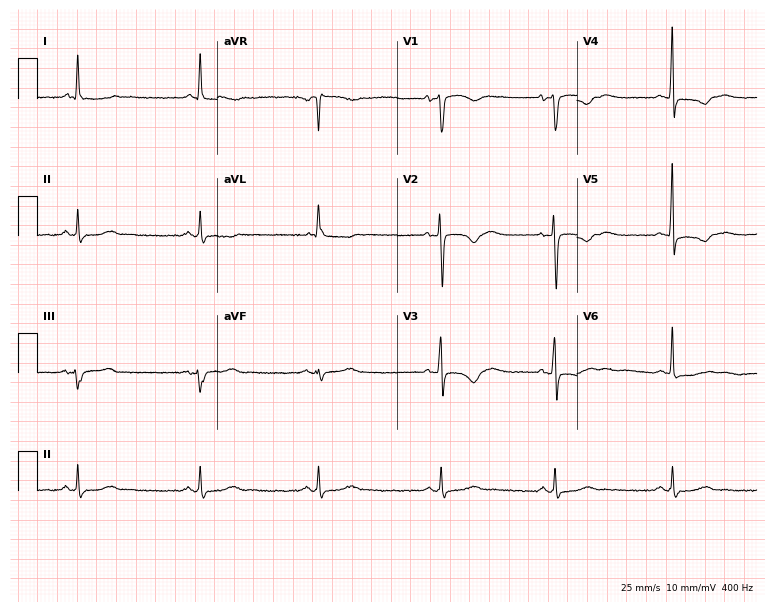
Standard 12-lead ECG recorded from a 69-year-old woman. None of these six findings is recorded: first-degree AV block, right bundle branch block, left bundle branch block, sinus bradycardia, atrial fibrillation, sinus tachycardia. Other findings, if any, are not listed.